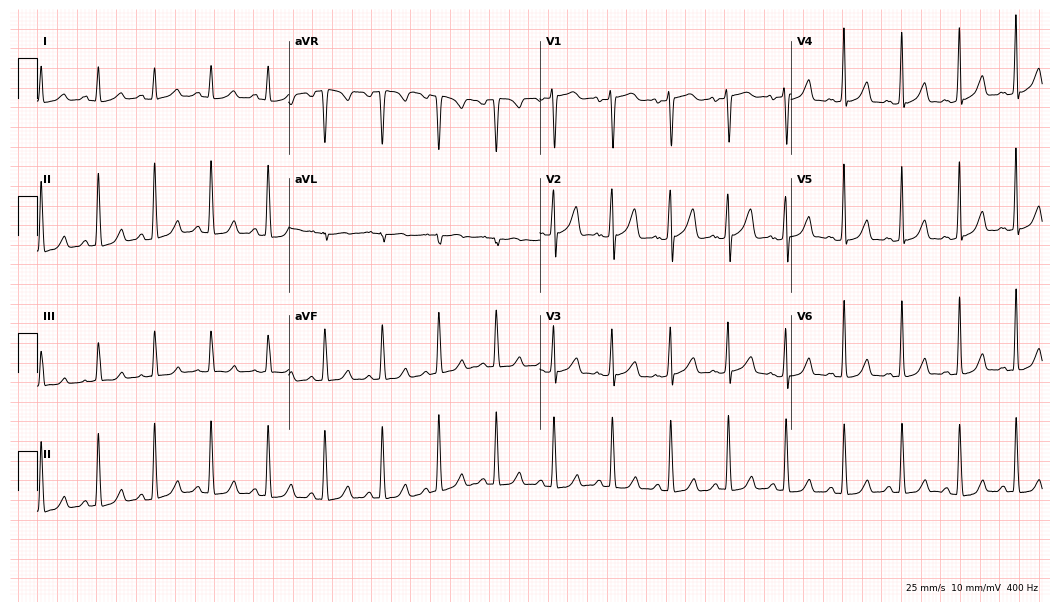
Standard 12-lead ECG recorded from a 29-year-old woman (10.2-second recording at 400 Hz). The tracing shows sinus tachycardia (a sinus rate of 100 beats per minute or more).